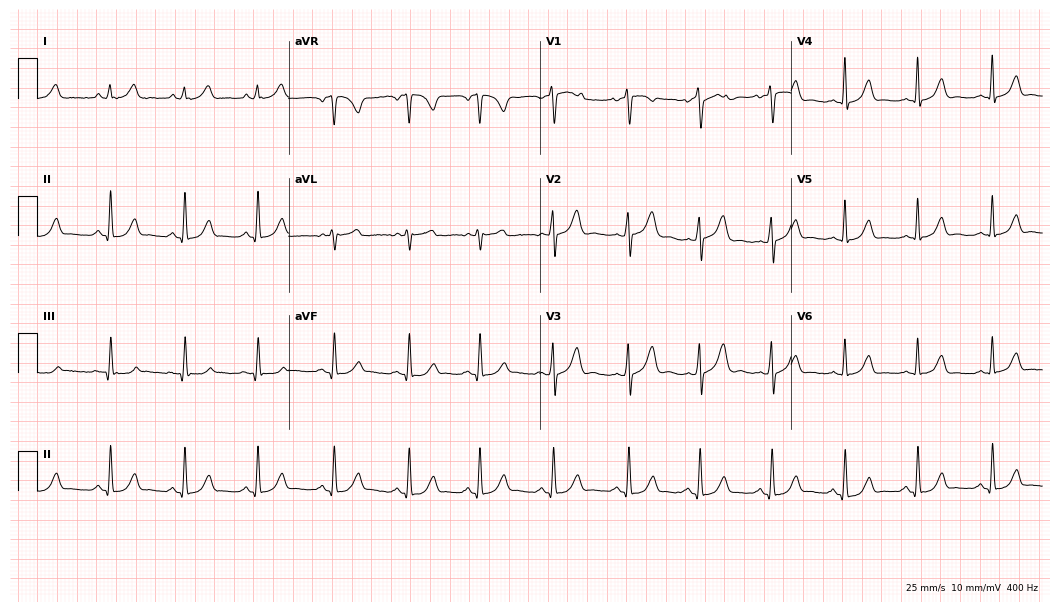
Standard 12-lead ECG recorded from a 25-year-old female (10.2-second recording at 400 Hz). Read as a normal ECG.